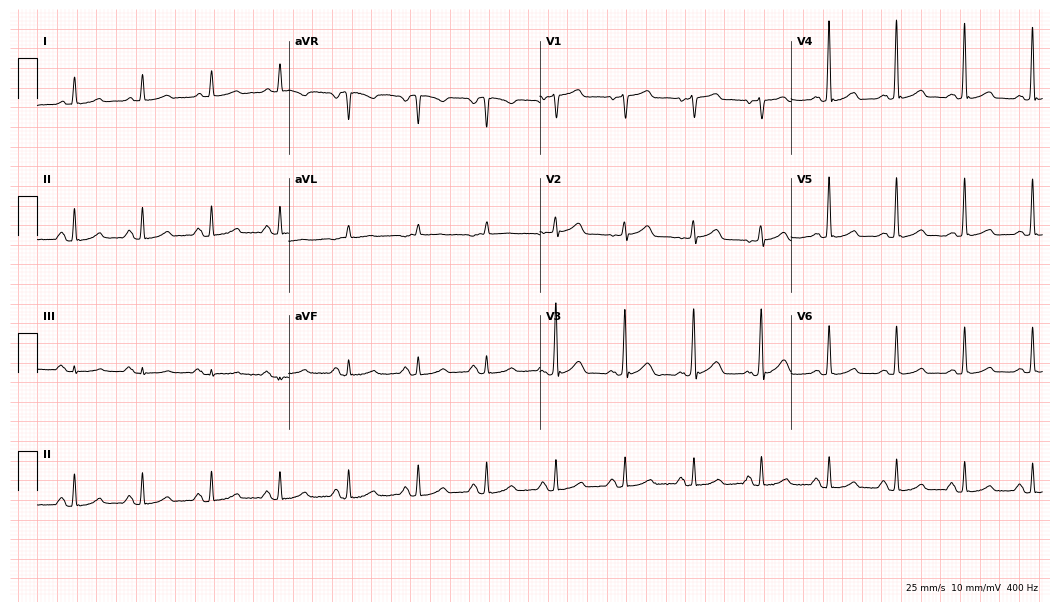
12-lead ECG from a 62-year-old female patient. No first-degree AV block, right bundle branch block, left bundle branch block, sinus bradycardia, atrial fibrillation or sinus tachycardia recorded for this tracing.